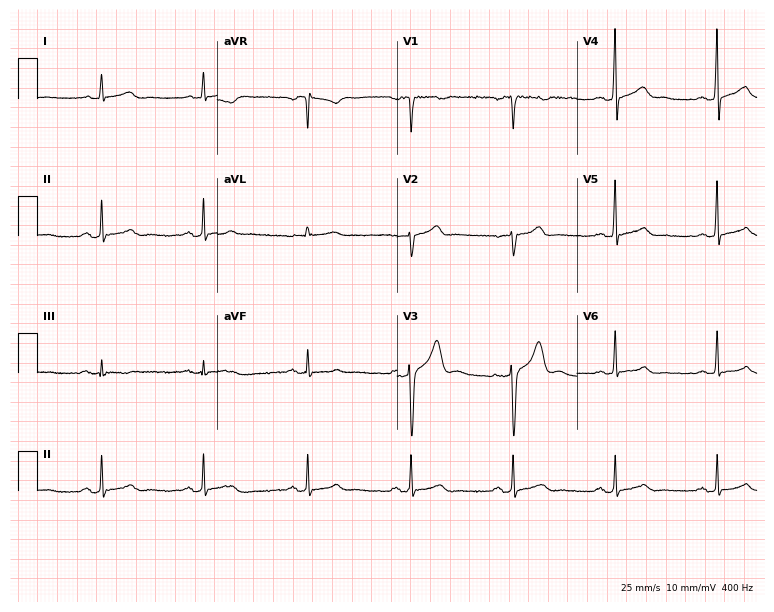
12-lead ECG from a 60-year-old man. No first-degree AV block, right bundle branch block, left bundle branch block, sinus bradycardia, atrial fibrillation or sinus tachycardia recorded for this tracing. Findings outside these six are not listed.